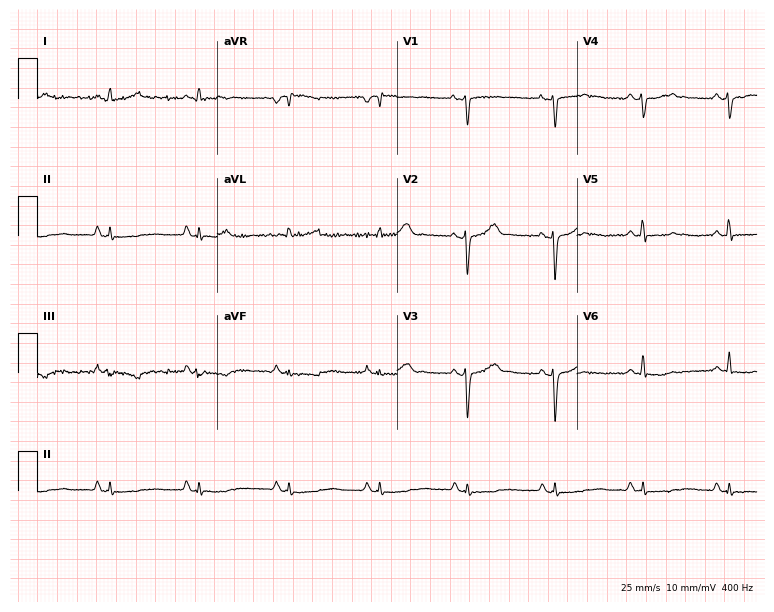
Standard 12-lead ECG recorded from a woman, 33 years old (7.3-second recording at 400 Hz). None of these six findings is recorded: first-degree AV block, right bundle branch block, left bundle branch block, sinus bradycardia, atrial fibrillation, sinus tachycardia.